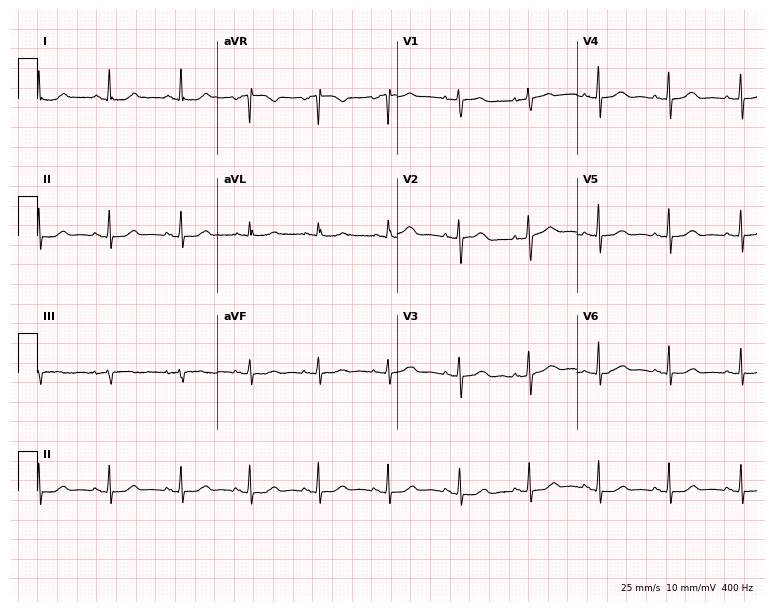
Resting 12-lead electrocardiogram. Patient: a female, 63 years old. Read as a normal ECG.